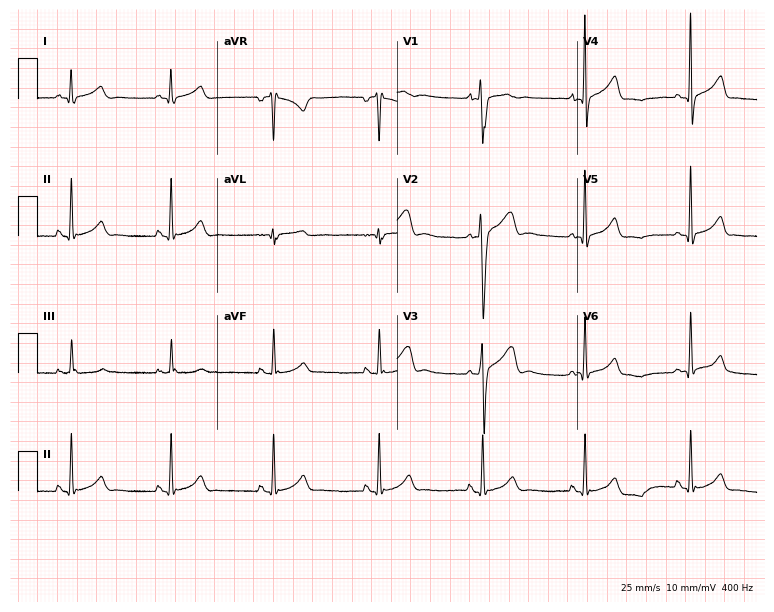
12-lead ECG (7.3-second recording at 400 Hz) from a 17-year-old man. Labelled as a normal ECG.